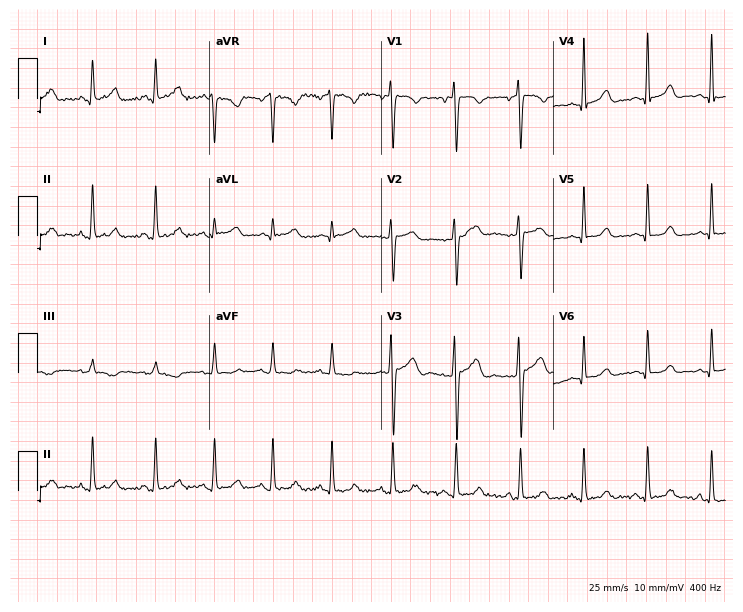
Electrocardiogram, a 40-year-old woman. Of the six screened findings (first-degree AV block, right bundle branch block (RBBB), left bundle branch block (LBBB), sinus bradycardia, atrial fibrillation (AF), sinus tachycardia), none is recorded.